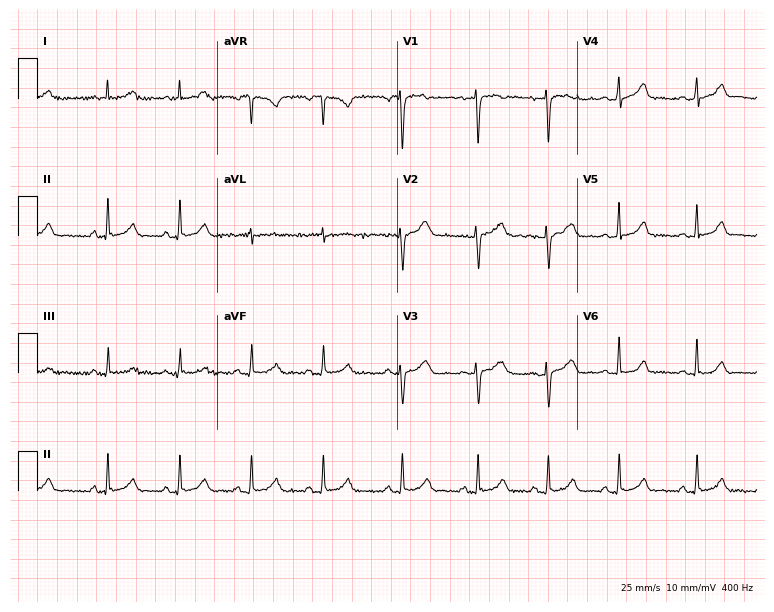
Electrocardiogram, a 33-year-old woman. Overall reading on record: normal ECG.